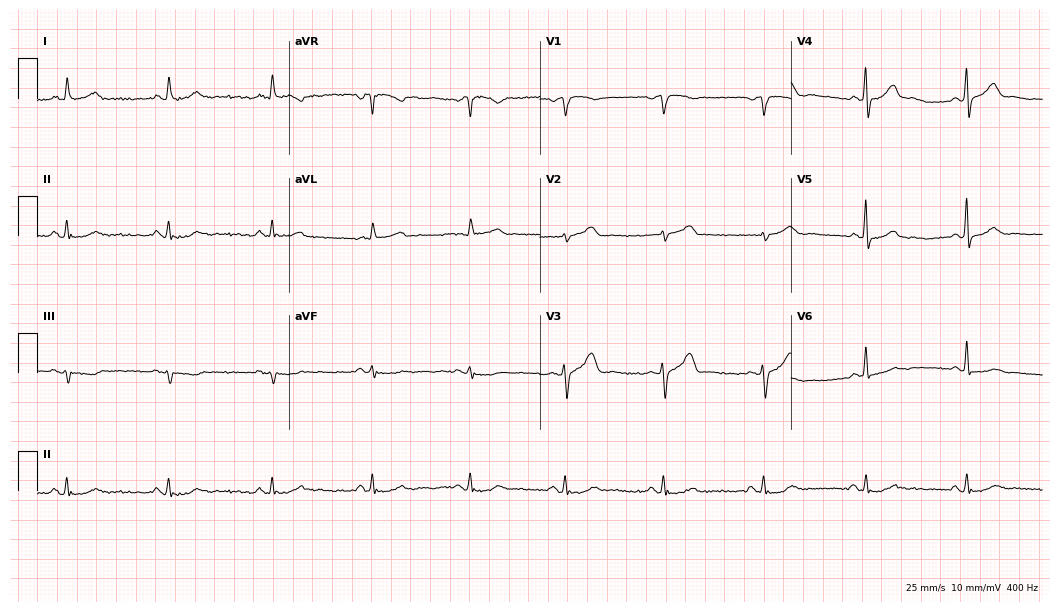
12-lead ECG from a 73-year-old male. No first-degree AV block, right bundle branch block, left bundle branch block, sinus bradycardia, atrial fibrillation or sinus tachycardia recorded for this tracing.